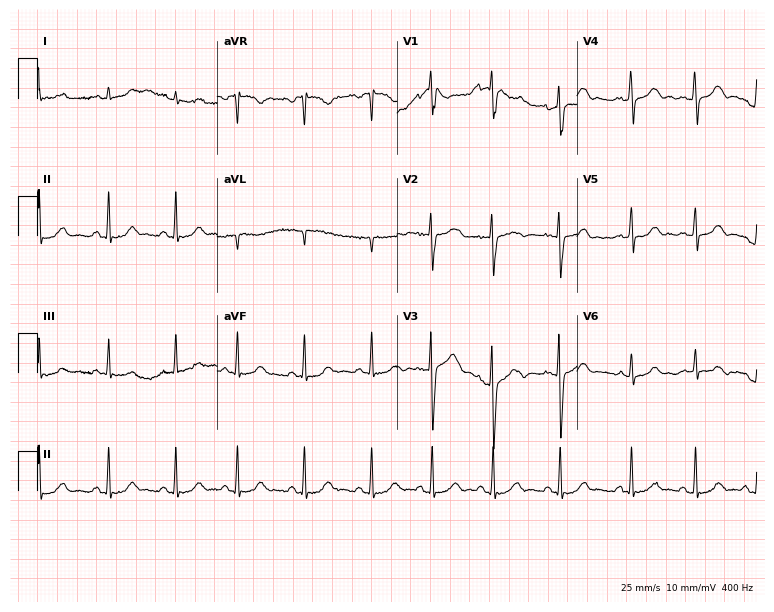
Standard 12-lead ECG recorded from a woman, 23 years old (7.3-second recording at 400 Hz). Read as a normal ECG.